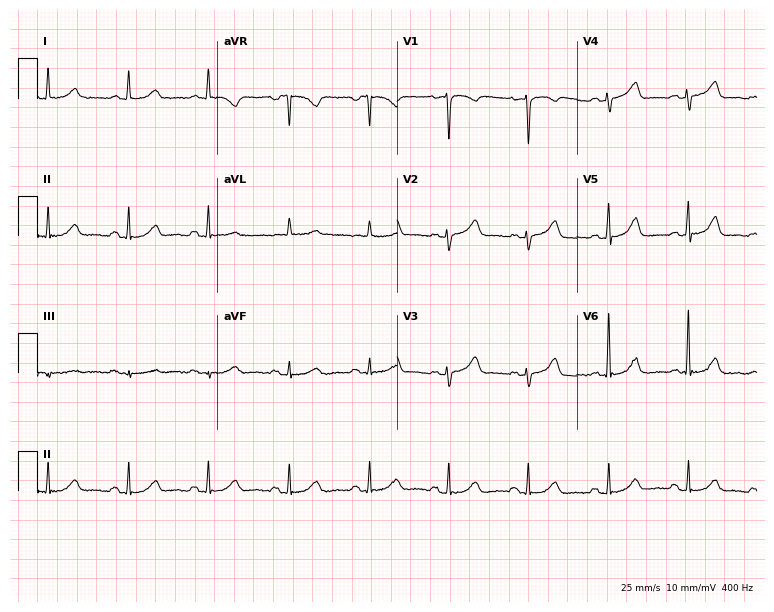
Standard 12-lead ECG recorded from a woman, 66 years old. Read as a normal ECG.